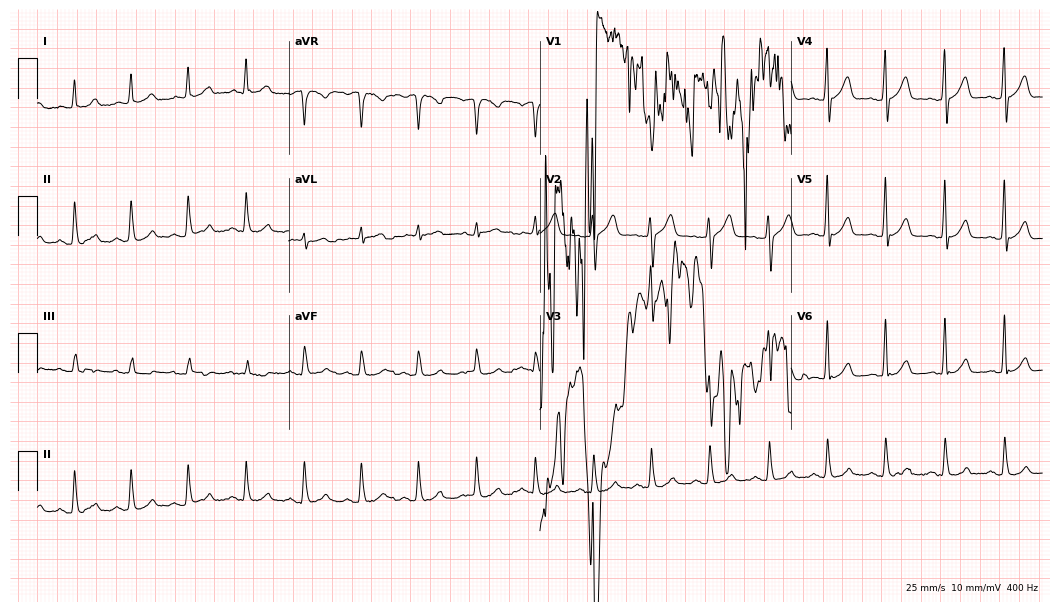
Electrocardiogram (10.2-second recording at 400 Hz), an 81-year-old male patient. Of the six screened findings (first-degree AV block, right bundle branch block, left bundle branch block, sinus bradycardia, atrial fibrillation, sinus tachycardia), none is recorded.